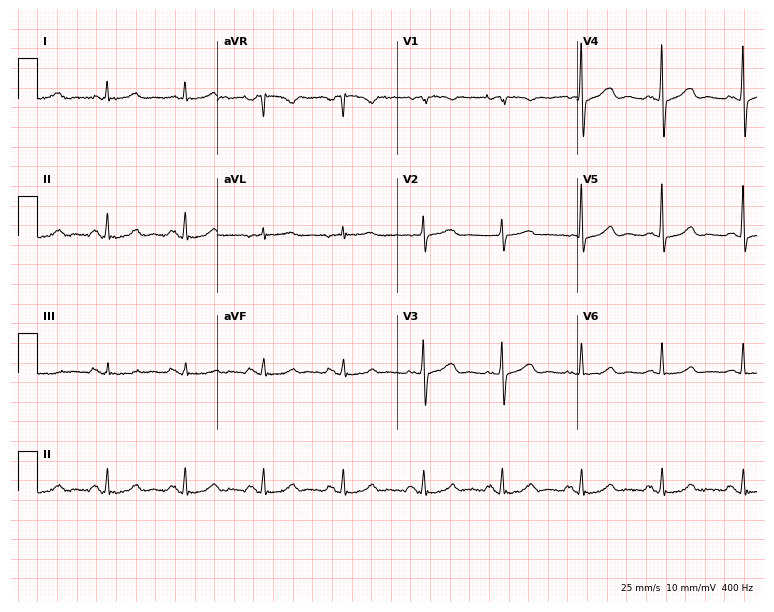
12-lead ECG from a female, 67 years old. Recorded interpretation: within normal limits.